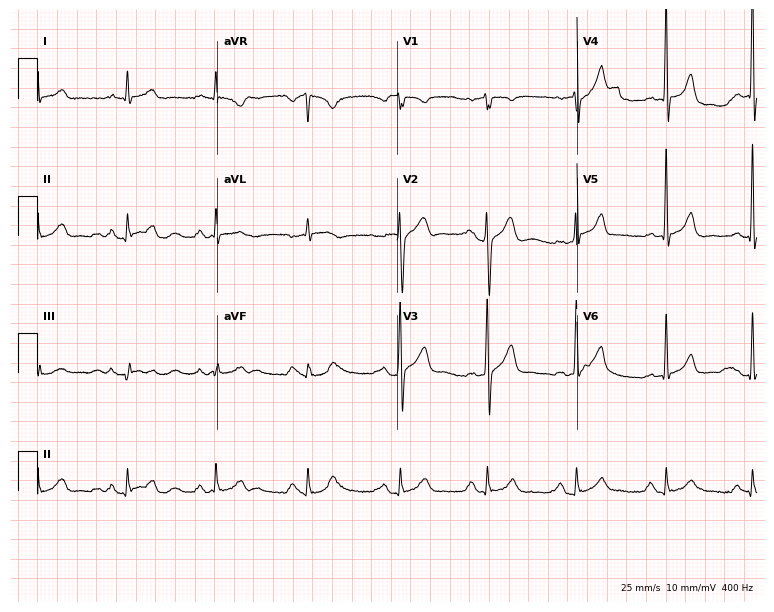
12-lead ECG from a male patient, 49 years old (7.3-second recording at 400 Hz). No first-degree AV block, right bundle branch block (RBBB), left bundle branch block (LBBB), sinus bradycardia, atrial fibrillation (AF) or sinus tachycardia recorded for this tracing.